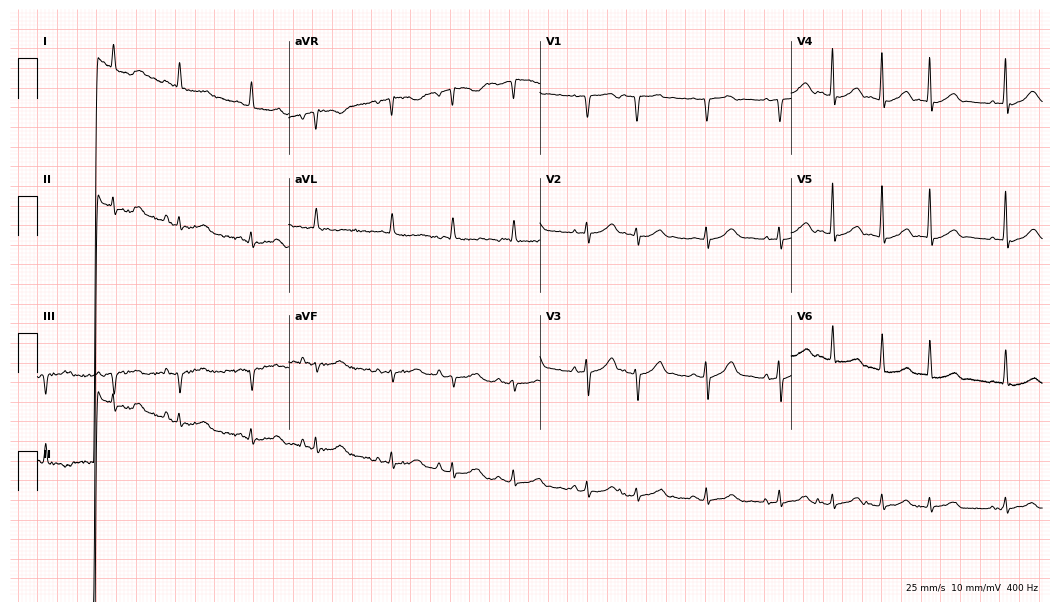
Electrocardiogram, an 80-year-old man. Of the six screened findings (first-degree AV block, right bundle branch block, left bundle branch block, sinus bradycardia, atrial fibrillation, sinus tachycardia), none is recorded.